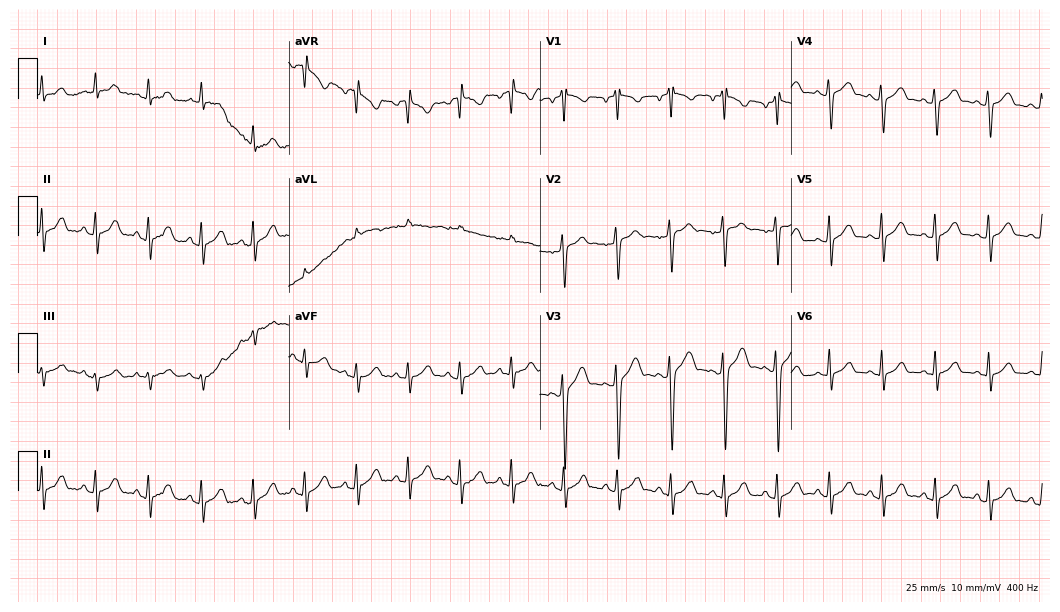
12-lead ECG (10.2-second recording at 400 Hz) from an 18-year-old male patient. Findings include sinus tachycardia (a sinus rate of 100 beats per minute or more).